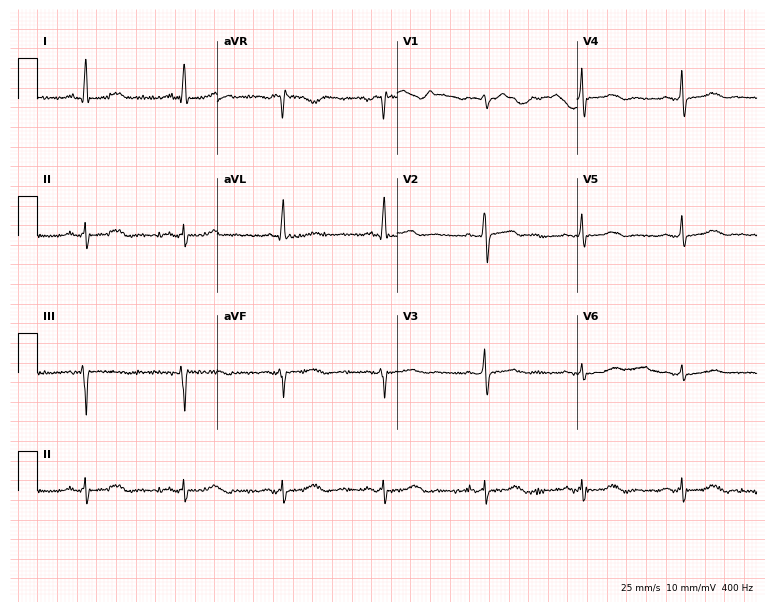
Electrocardiogram (7.3-second recording at 400 Hz), a 63-year-old female patient. Overall reading on record: normal ECG.